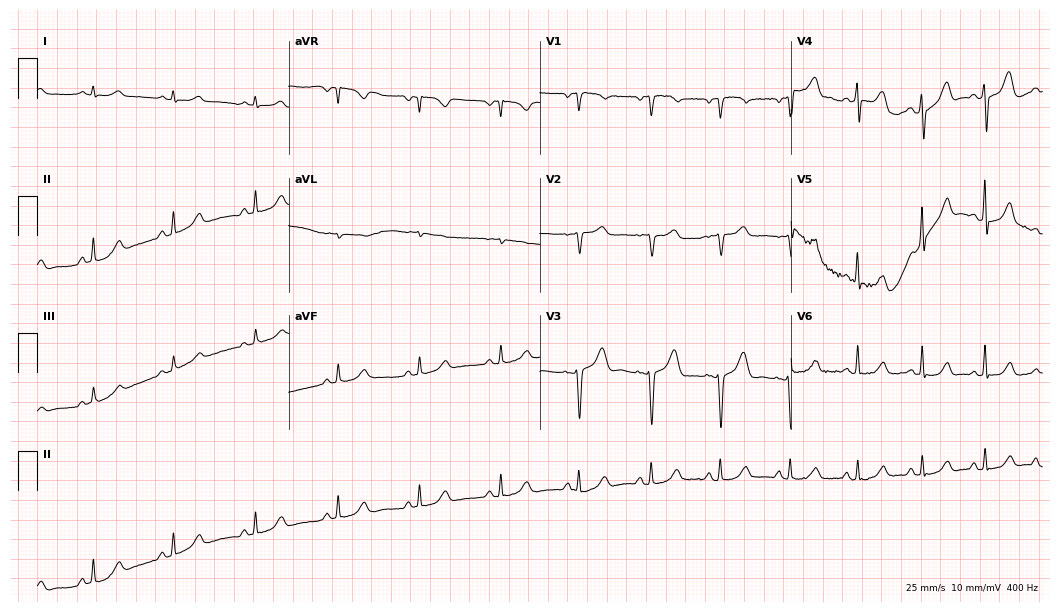
Standard 12-lead ECG recorded from a 38-year-old female patient (10.2-second recording at 400 Hz). Read as a normal ECG.